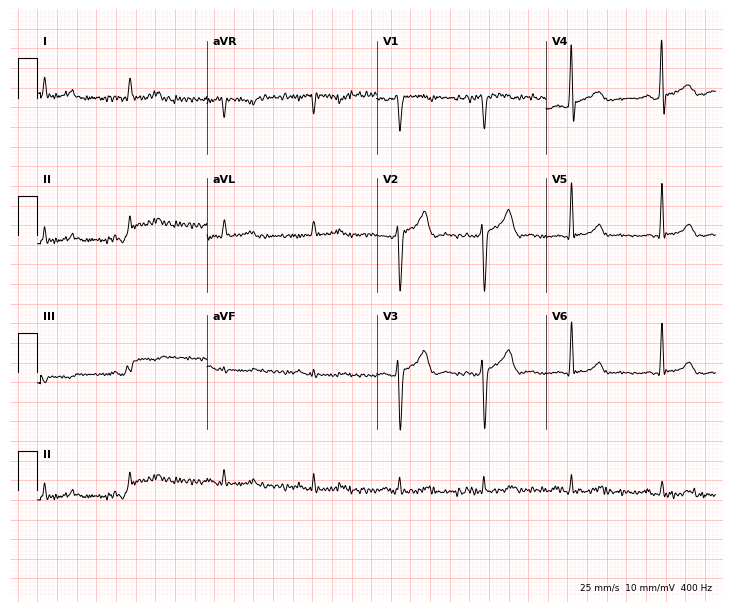
Electrocardiogram, a man, 53 years old. Overall reading on record: normal ECG.